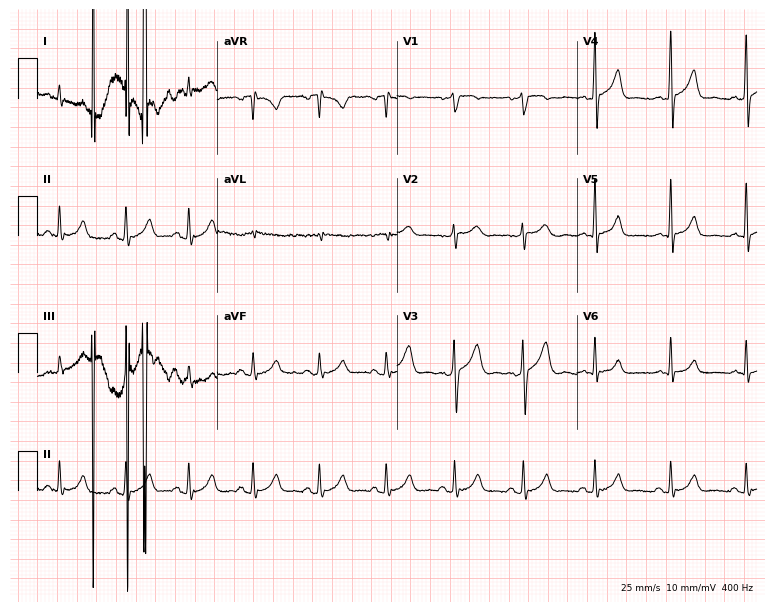
12-lead ECG (7.3-second recording at 400 Hz) from a male, 45 years old. Screened for six findings — first-degree AV block, right bundle branch block, left bundle branch block, sinus bradycardia, atrial fibrillation, sinus tachycardia — none is recorded. Findings outside these six are not listed.